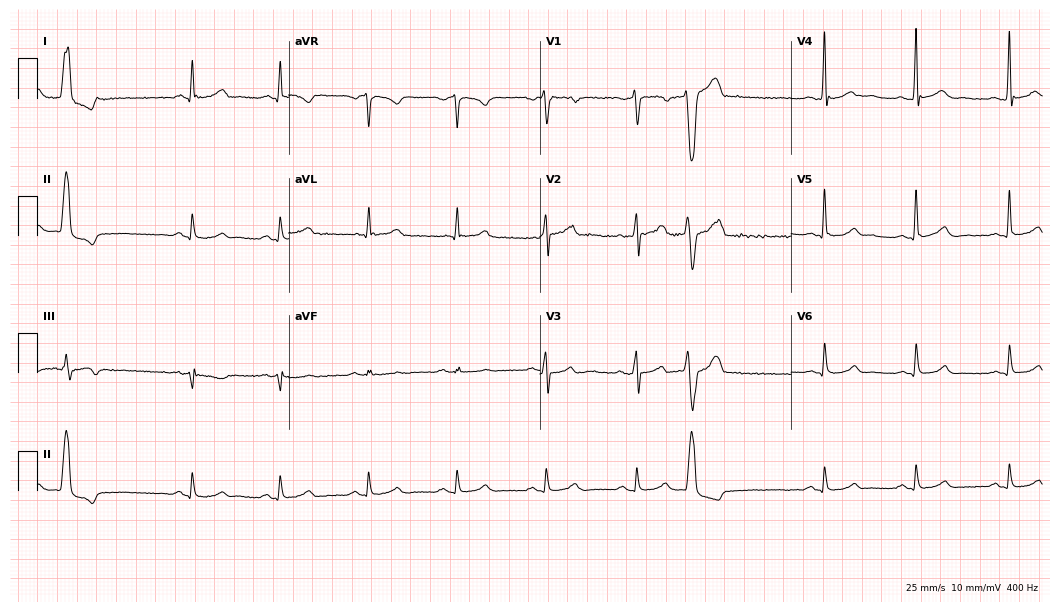
Resting 12-lead electrocardiogram. Patient: a 43-year-old male. None of these six findings is recorded: first-degree AV block, right bundle branch block, left bundle branch block, sinus bradycardia, atrial fibrillation, sinus tachycardia. Other findings, if any, are not listed.